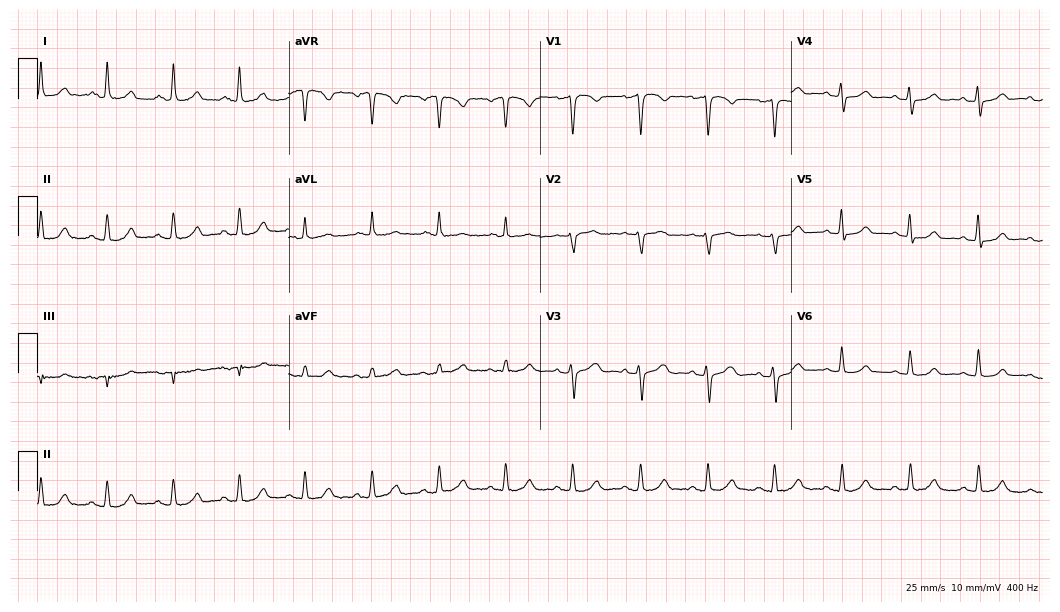
ECG (10.2-second recording at 400 Hz) — a female, 55 years old. Labelled as a normal ECG.